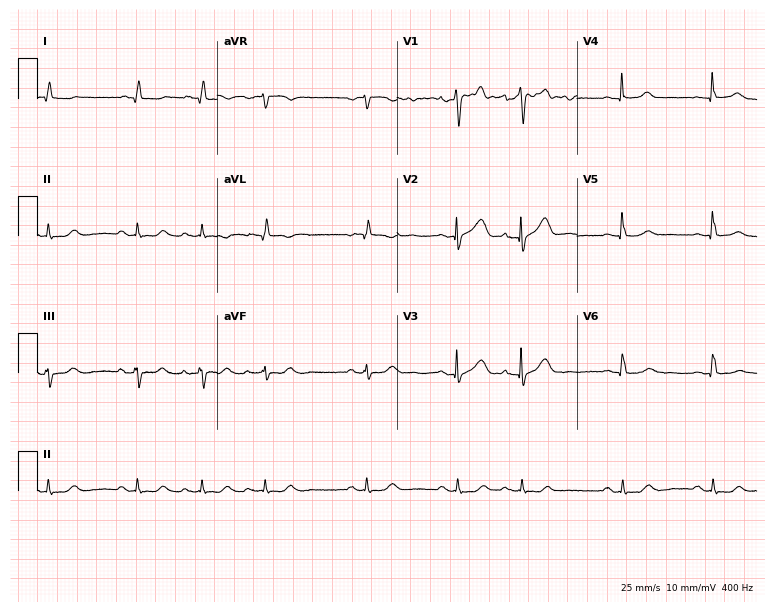
12-lead ECG from a male, 81 years old. No first-degree AV block, right bundle branch block (RBBB), left bundle branch block (LBBB), sinus bradycardia, atrial fibrillation (AF) or sinus tachycardia recorded for this tracing.